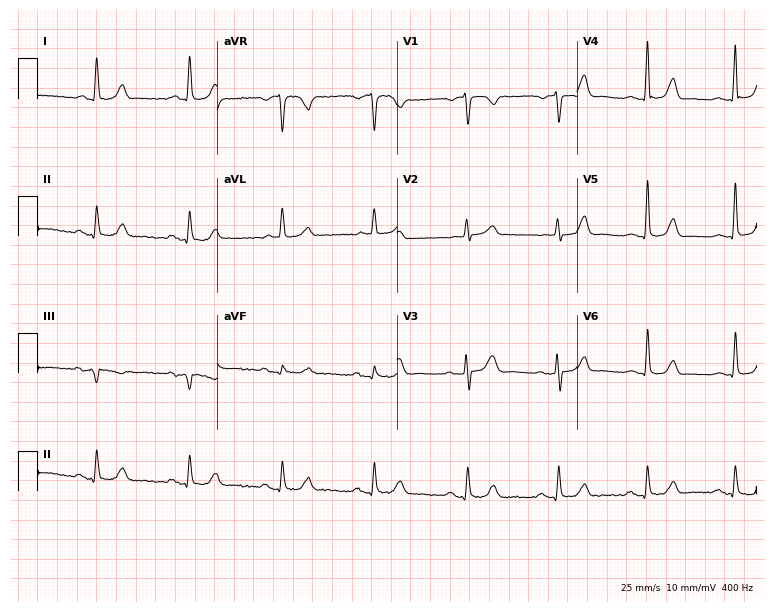
12-lead ECG from a 69-year-old woman (7.3-second recording at 400 Hz). No first-degree AV block, right bundle branch block, left bundle branch block, sinus bradycardia, atrial fibrillation or sinus tachycardia recorded for this tracing.